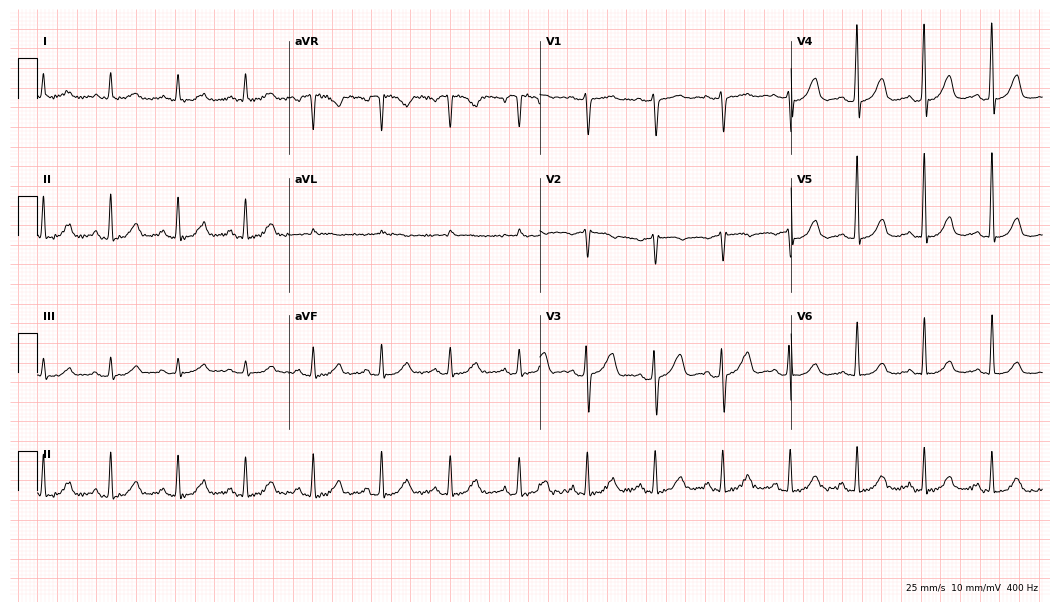
ECG (10.2-second recording at 400 Hz) — a woman, 44 years old. Labelled as a normal ECG.